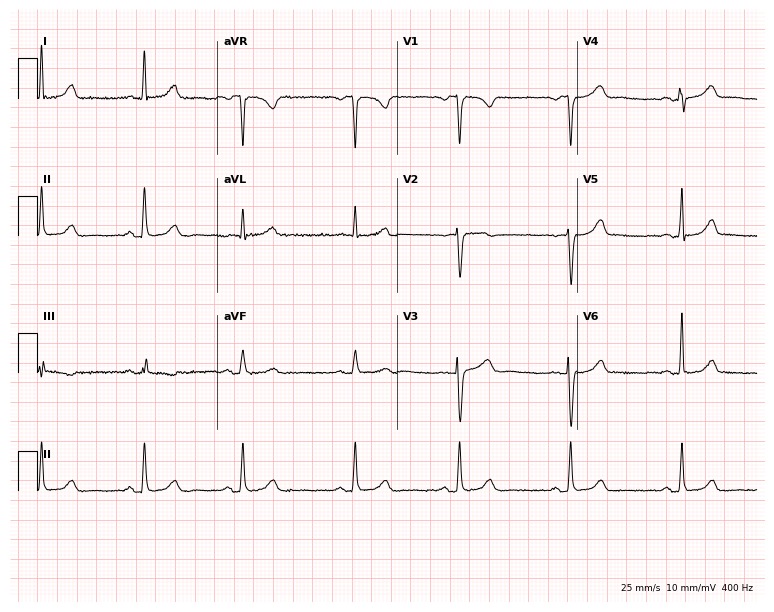
Resting 12-lead electrocardiogram. Patient: a 40-year-old female. None of these six findings is recorded: first-degree AV block, right bundle branch block, left bundle branch block, sinus bradycardia, atrial fibrillation, sinus tachycardia.